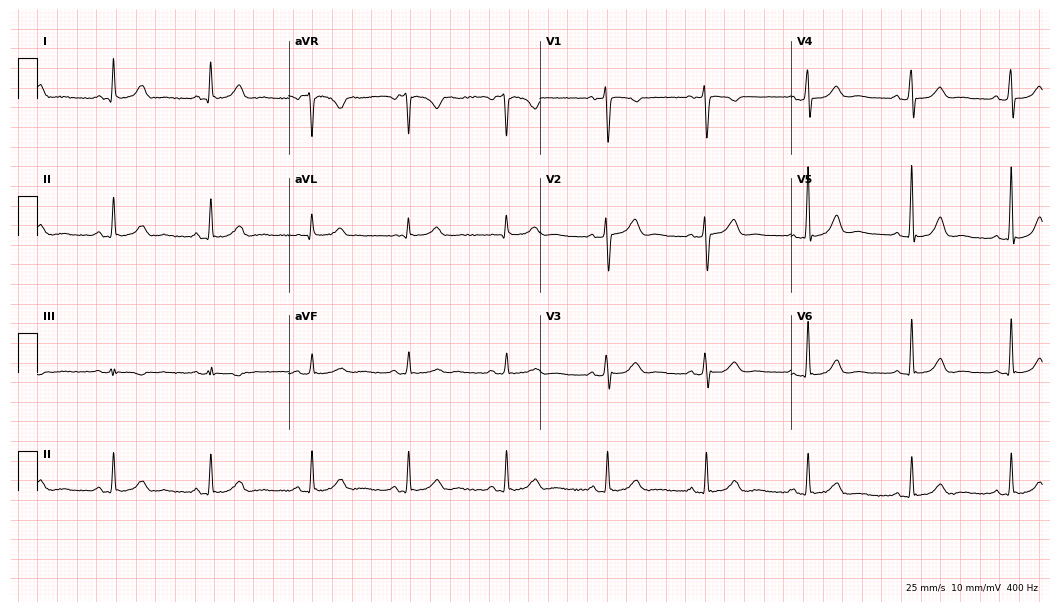
12-lead ECG from a woman, 61 years old (10.2-second recording at 400 Hz). Recorded interpretation: within normal limits.